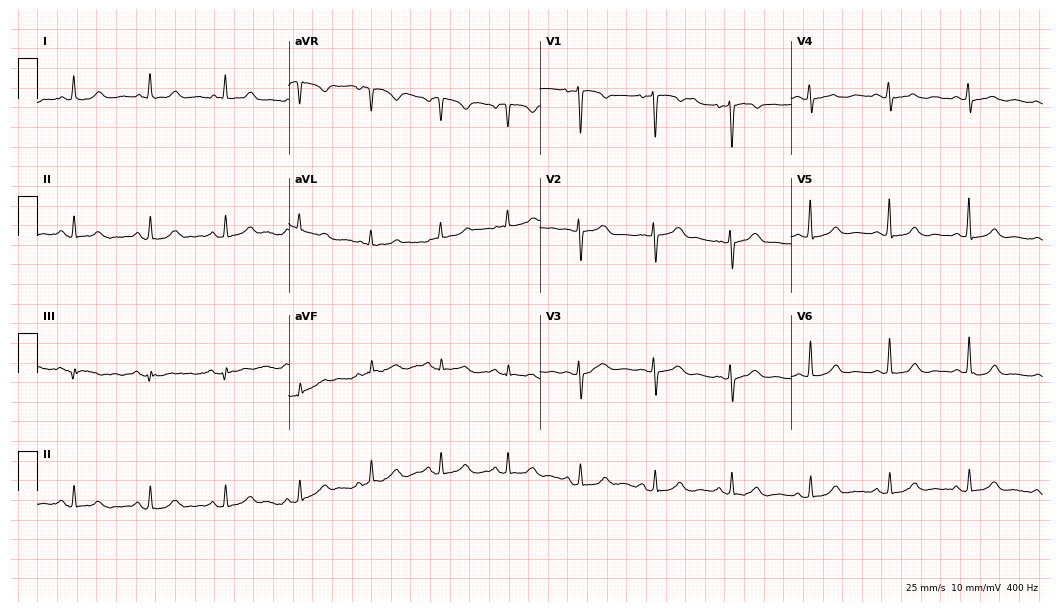
Resting 12-lead electrocardiogram (10.2-second recording at 400 Hz). Patient: a 40-year-old female. Read as a normal ECG.